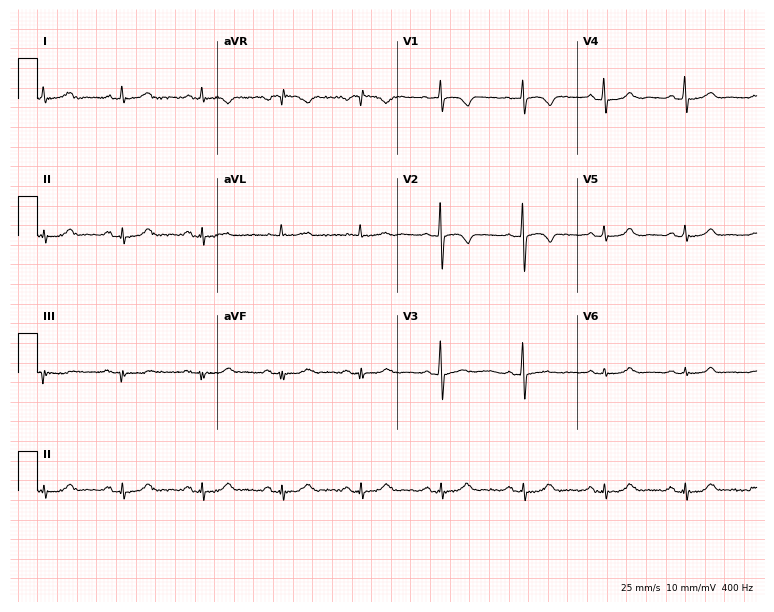
Resting 12-lead electrocardiogram. Patient: a female, 68 years old. None of these six findings is recorded: first-degree AV block, right bundle branch block, left bundle branch block, sinus bradycardia, atrial fibrillation, sinus tachycardia. Other findings, if any, are not listed.